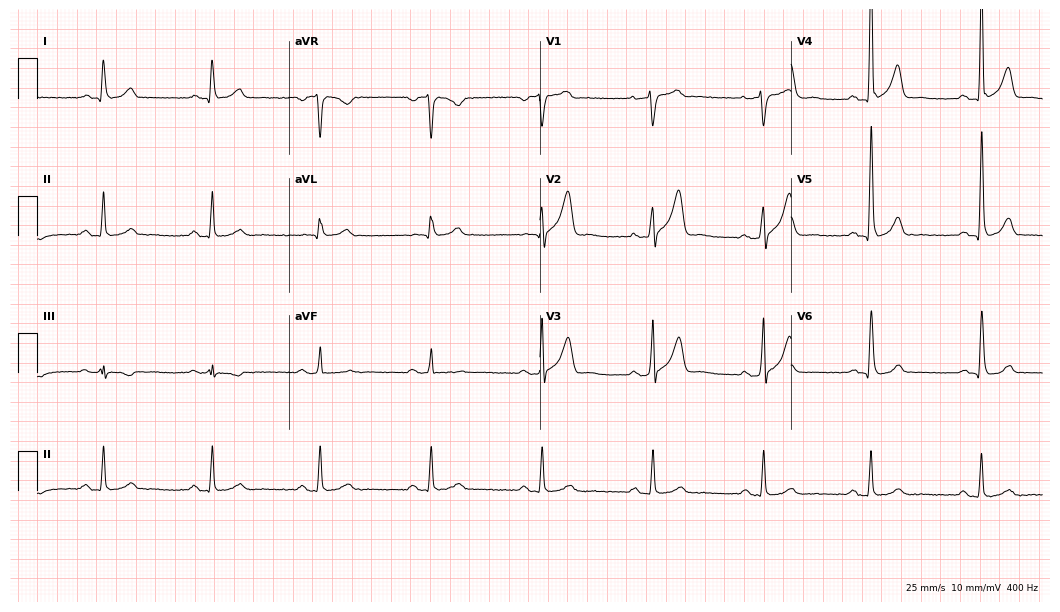
12-lead ECG from a 59-year-old male. Screened for six findings — first-degree AV block, right bundle branch block, left bundle branch block, sinus bradycardia, atrial fibrillation, sinus tachycardia — none is recorded.